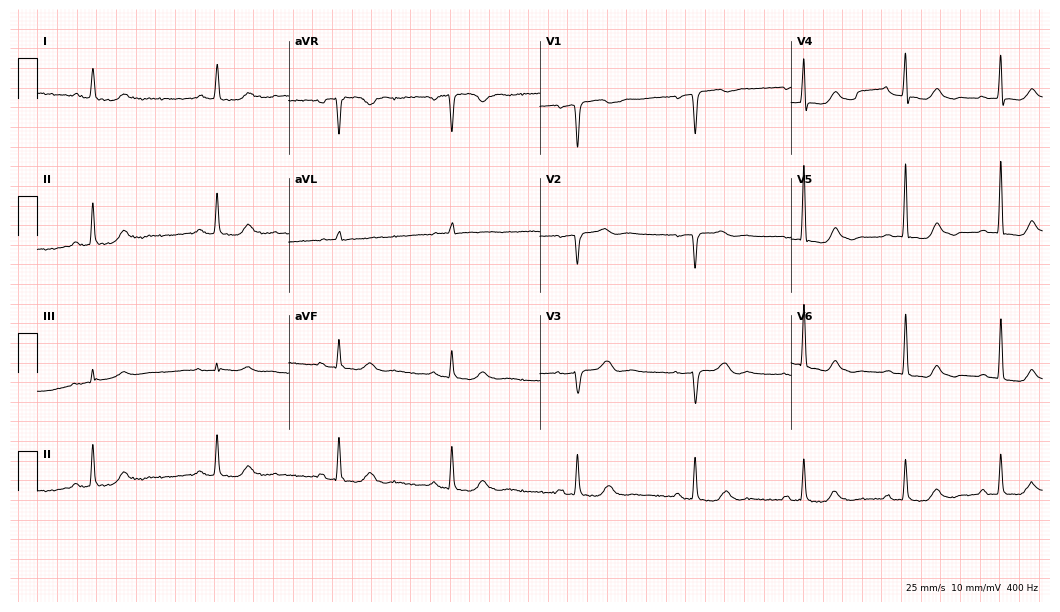
Standard 12-lead ECG recorded from a man, 65 years old. The tracing shows sinus bradycardia (a sinus rate of 50 beats per minute or less).